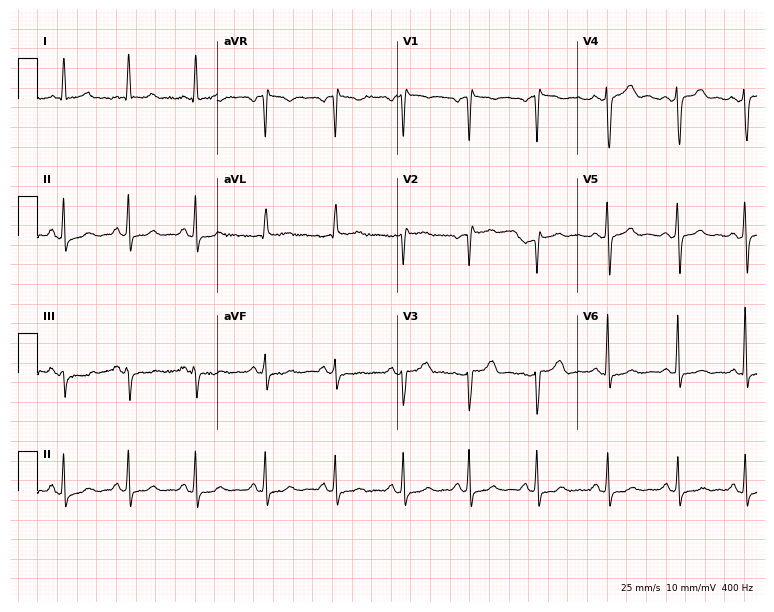
12-lead ECG (7.3-second recording at 400 Hz) from a 65-year-old woman. Screened for six findings — first-degree AV block, right bundle branch block, left bundle branch block, sinus bradycardia, atrial fibrillation, sinus tachycardia — none is recorded.